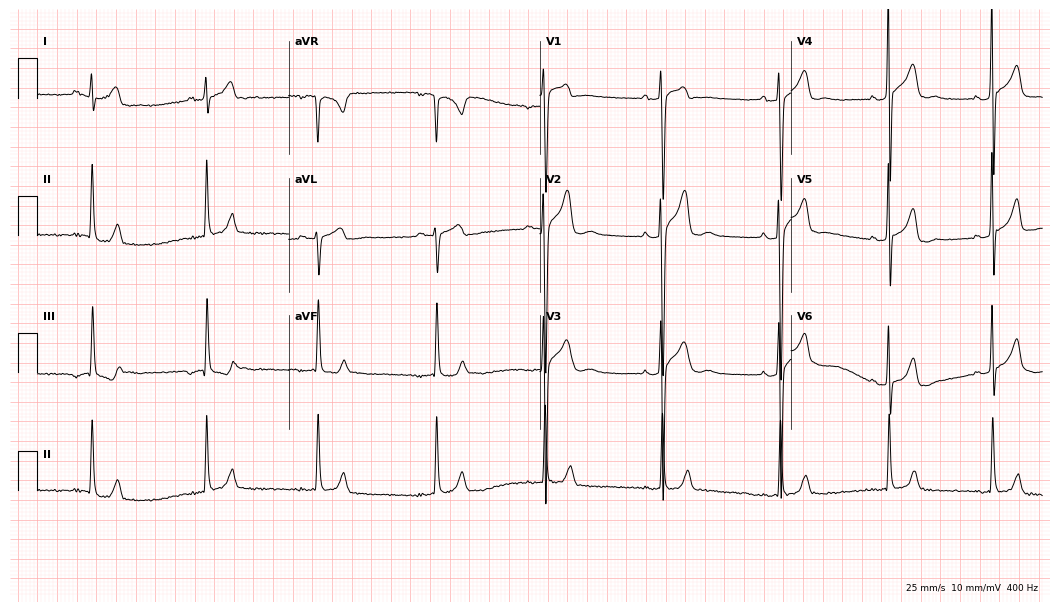
Standard 12-lead ECG recorded from a male patient, 25 years old. Read as a normal ECG.